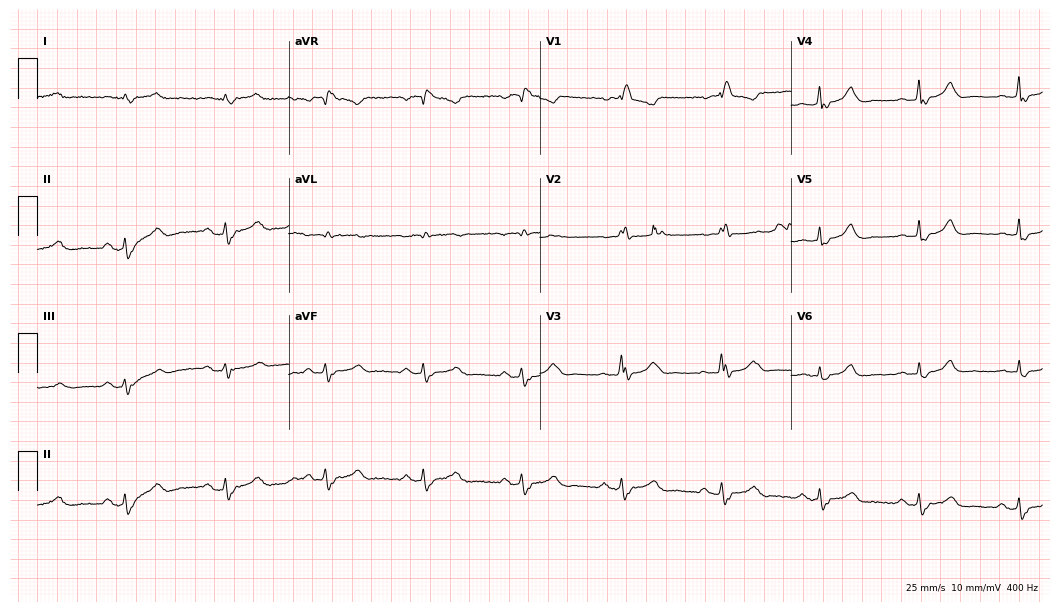
12-lead ECG from a male patient, 58 years old. Shows right bundle branch block.